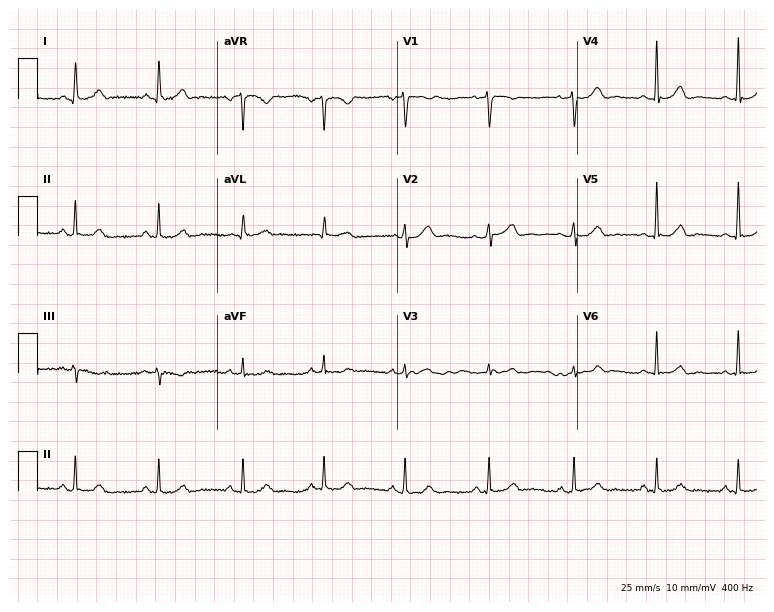
12-lead ECG from a 49-year-old female patient (7.3-second recording at 400 Hz). Recorded interpretation: within normal limits.